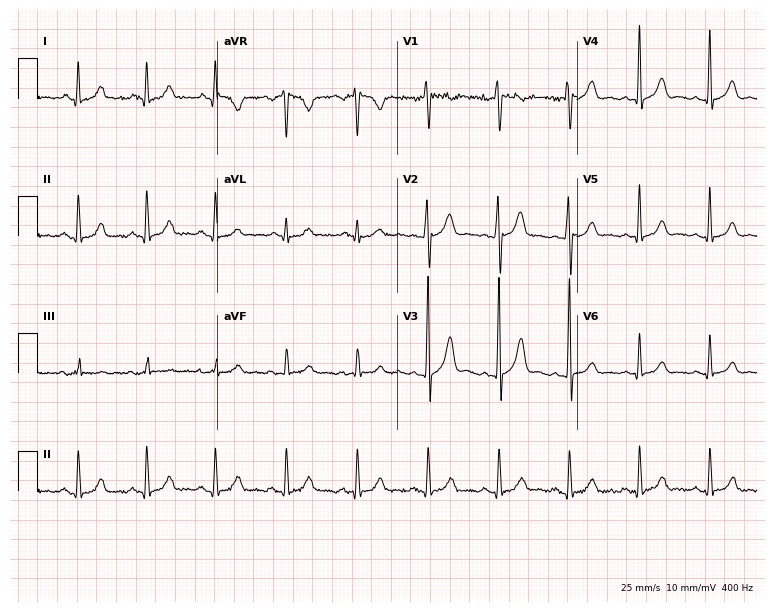
Standard 12-lead ECG recorded from a female patient, 40 years old. Read as a normal ECG.